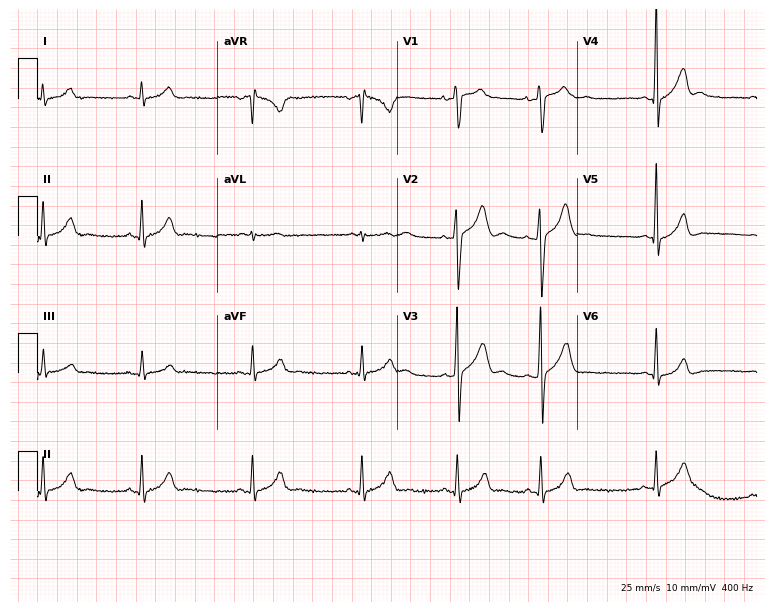
12-lead ECG from a male, 19 years old. Recorded interpretation: within normal limits.